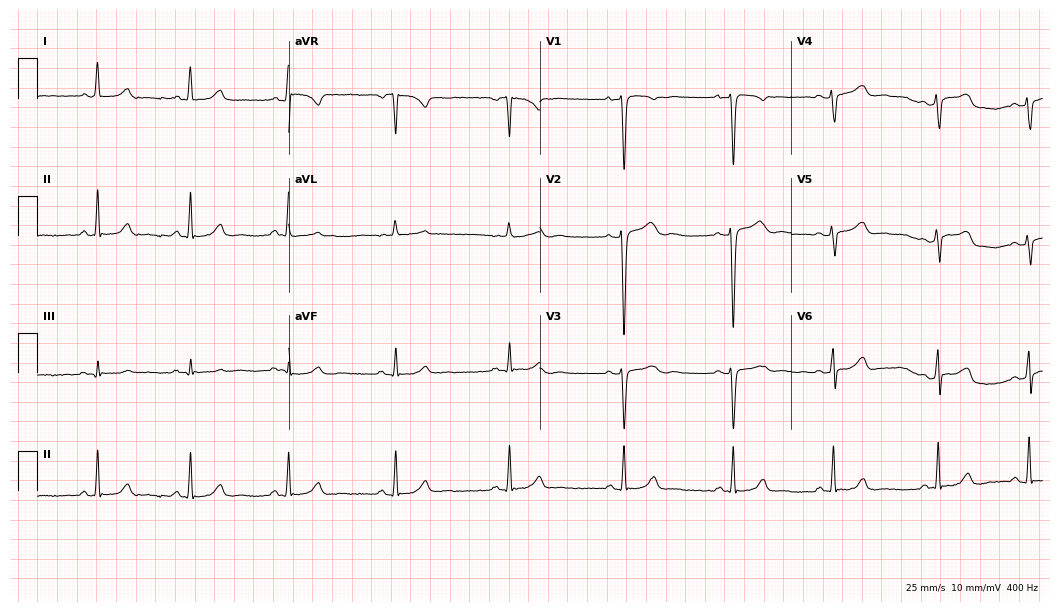
ECG (10.2-second recording at 400 Hz) — a female patient, 28 years old. Labelled as a normal ECG.